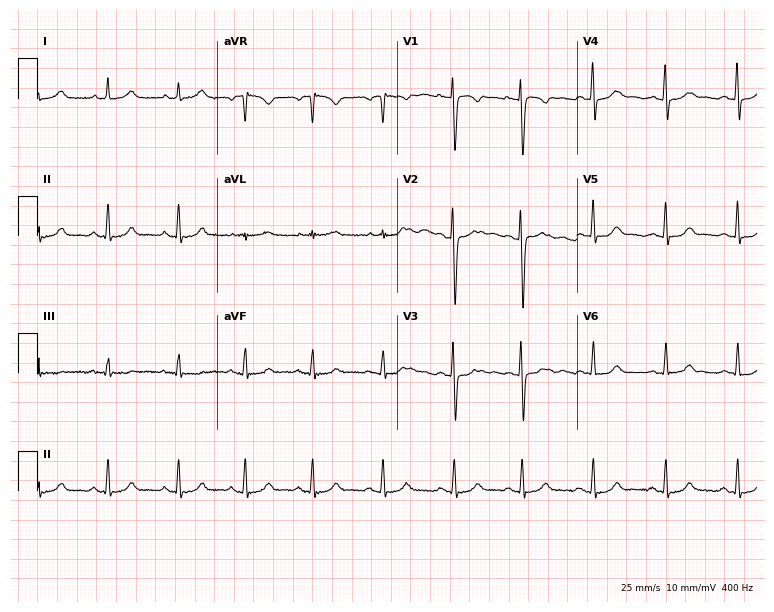
12-lead ECG (7.3-second recording at 400 Hz) from a 21-year-old female. Screened for six findings — first-degree AV block, right bundle branch block, left bundle branch block, sinus bradycardia, atrial fibrillation, sinus tachycardia — none is recorded. Other findings, if any, are not listed.